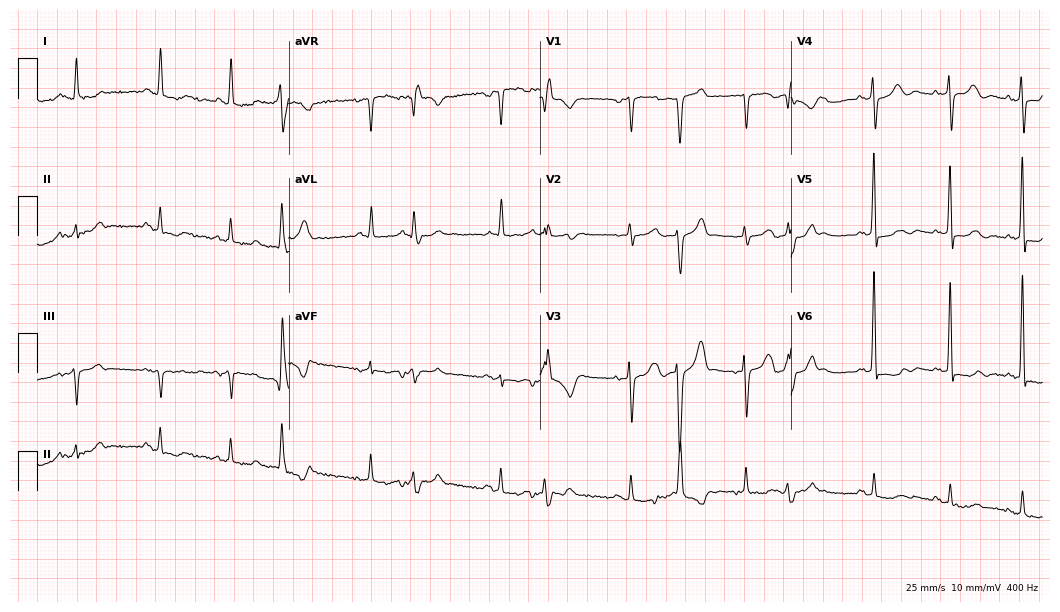
ECG (10.2-second recording at 400 Hz) — an 85-year-old man. Screened for six findings — first-degree AV block, right bundle branch block, left bundle branch block, sinus bradycardia, atrial fibrillation, sinus tachycardia — none is recorded. Only these six findings were labelled.